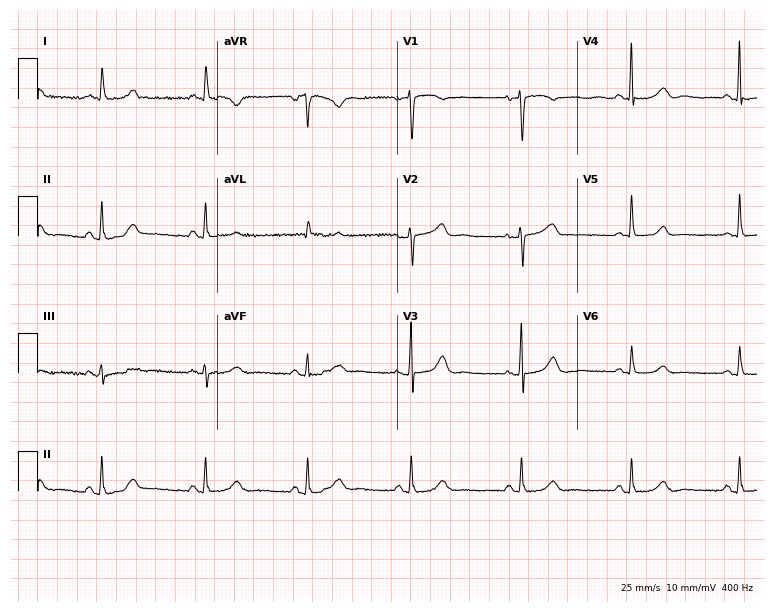
ECG (7.3-second recording at 400 Hz) — a female patient, 71 years old. Screened for six findings — first-degree AV block, right bundle branch block (RBBB), left bundle branch block (LBBB), sinus bradycardia, atrial fibrillation (AF), sinus tachycardia — none is recorded.